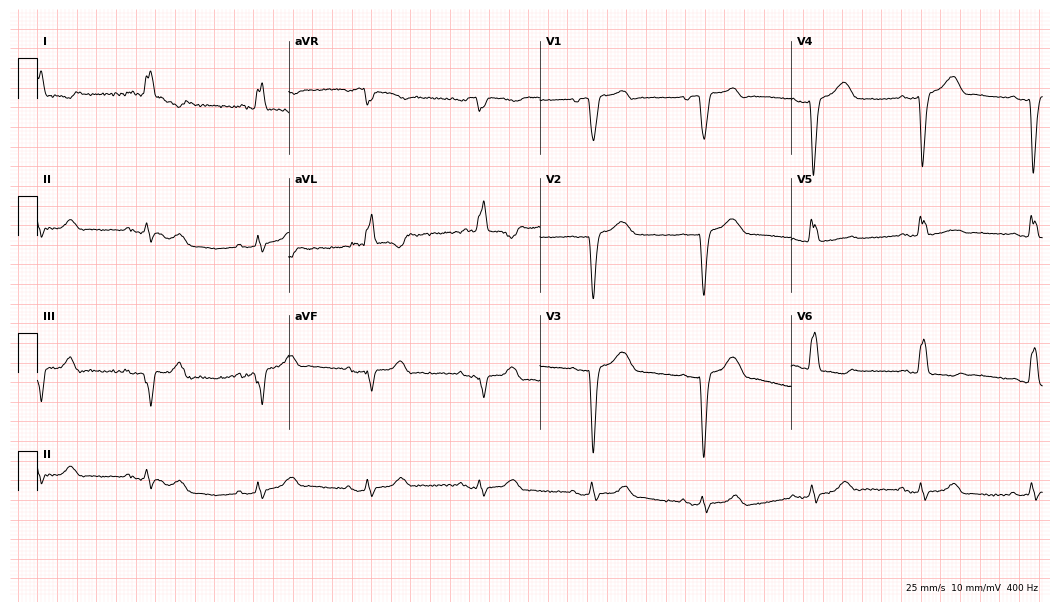
12-lead ECG from a woman, 84 years old (10.2-second recording at 400 Hz). Shows left bundle branch block.